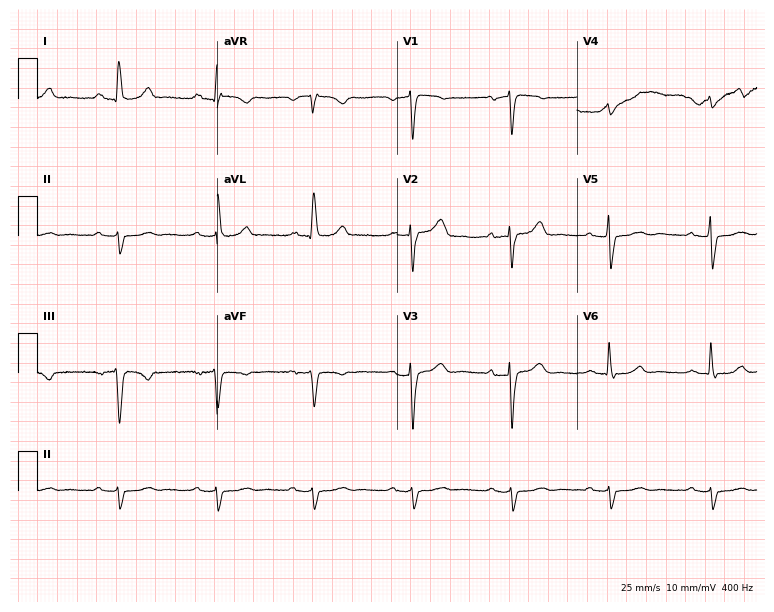
Resting 12-lead electrocardiogram. Patient: an 80-year-old female. None of these six findings is recorded: first-degree AV block, right bundle branch block, left bundle branch block, sinus bradycardia, atrial fibrillation, sinus tachycardia. Findings outside these six are not listed.